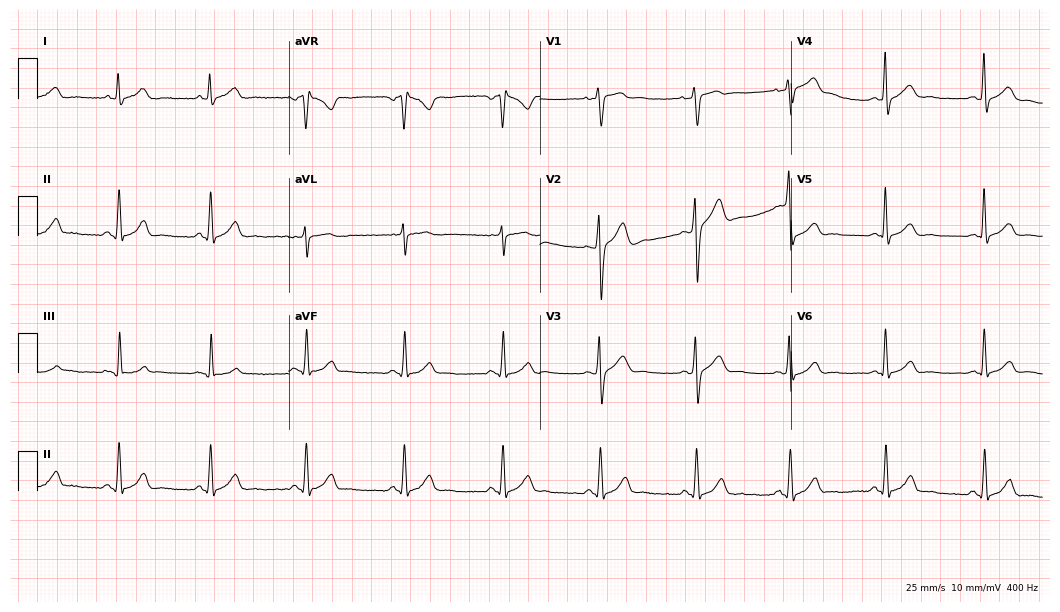
Resting 12-lead electrocardiogram. Patient: a woman, 41 years old. None of these six findings is recorded: first-degree AV block, right bundle branch block (RBBB), left bundle branch block (LBBB), sinus bradycardia, atrial fibrillation (AF), sinus tachycardia.